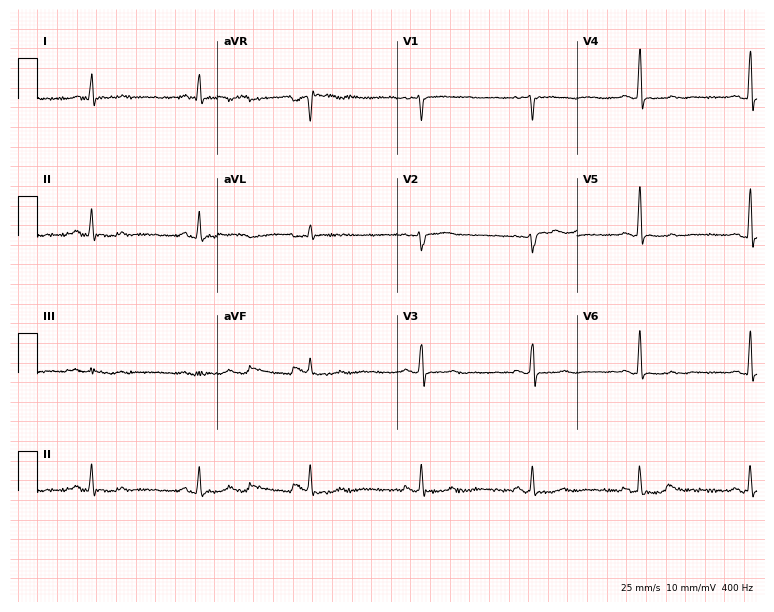
ECG — a 45-year-old female patient. Screened for six findings — first-degree AV block, right bundle branch block, left bundle branch block, sinus bradycardia, atrial fibrillation, sinus tachycardia — none is recorded. Other findings, if any, are not listed.